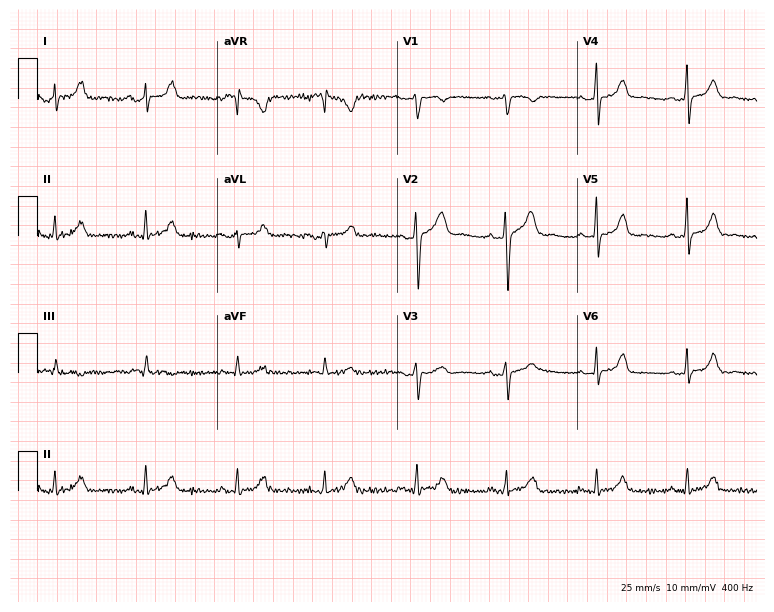
Resting 12-lead electrocardiogram (7.3-second recording at 400 Hz). Patient: a female, 67 years old. Read as a normal ECG.